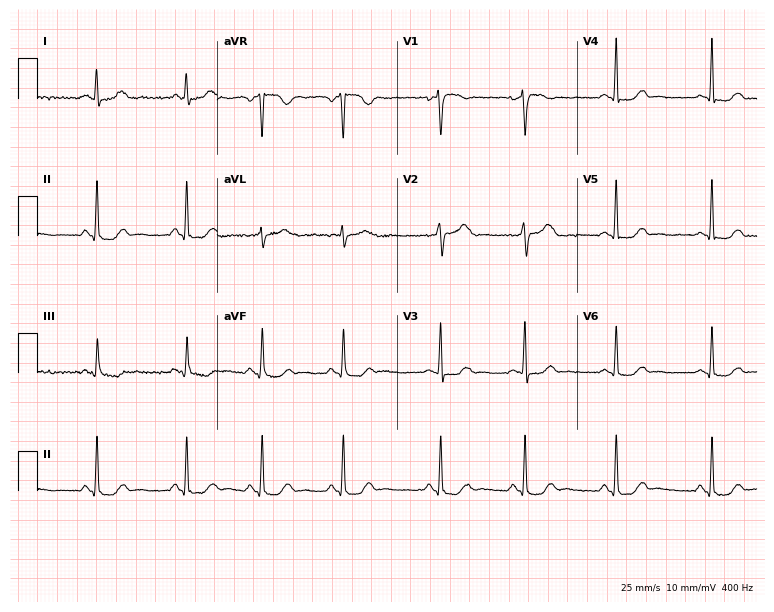
Standard 12-lead ECG recorded from a 42-year-old female patient (7.3-second recording at 400 Hz). None of these six findings is recorded: first-degree AV block, right bundle branch block, left bundle branch block, sinus bradycardia, atrial fibrillation, sinus tachycardia. Only these six findings were labelled.